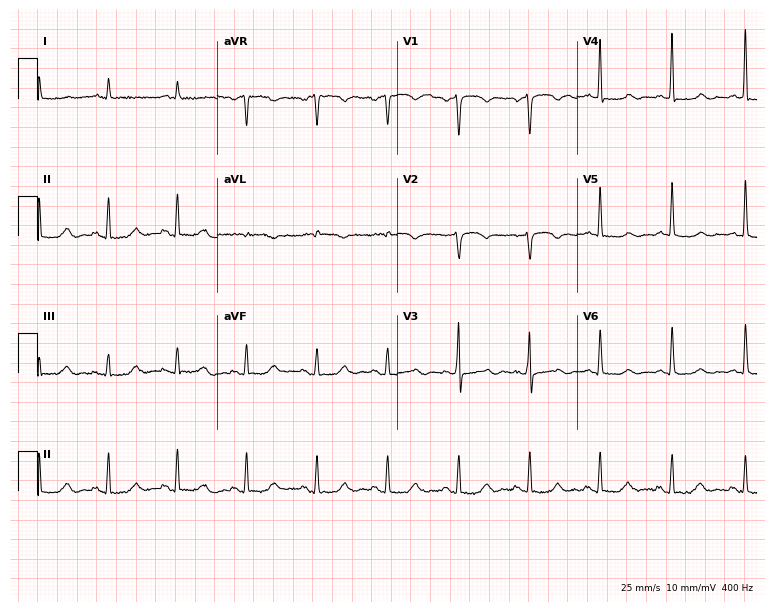
12-lead ECG from a man, 69 years old. Screened for six findings — first-degree AV block, right bundle branch block (RBBB), left bundle branch block (LBBB), sinus bradycardia, atrial fibrillation (AF), sinus tachycardia — none is recorded.